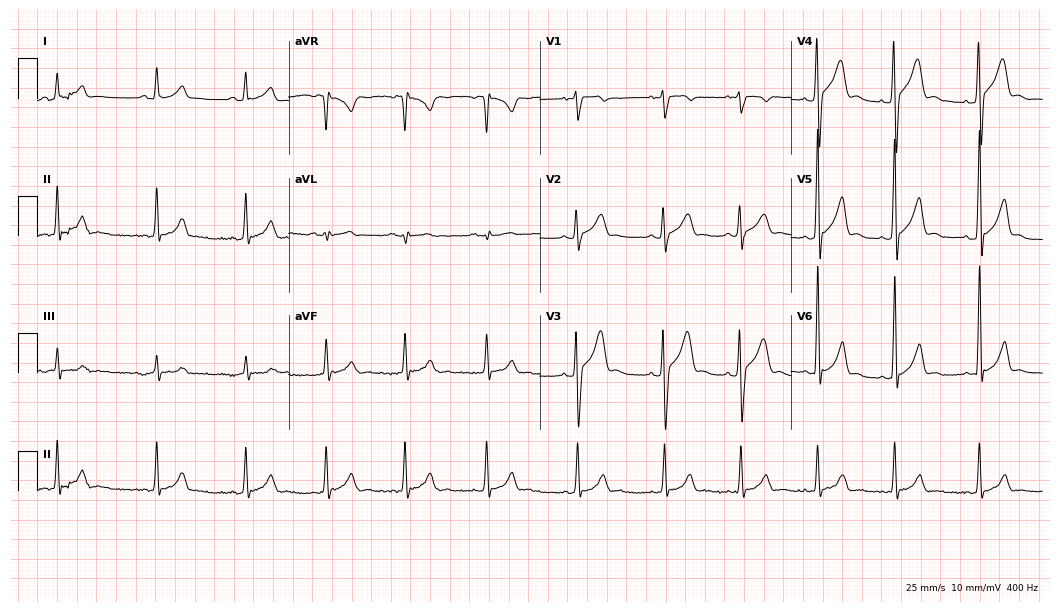
Resting 12-lead electrocardiogram. Patient: a male, 20 years old. Read as a normal ECG.